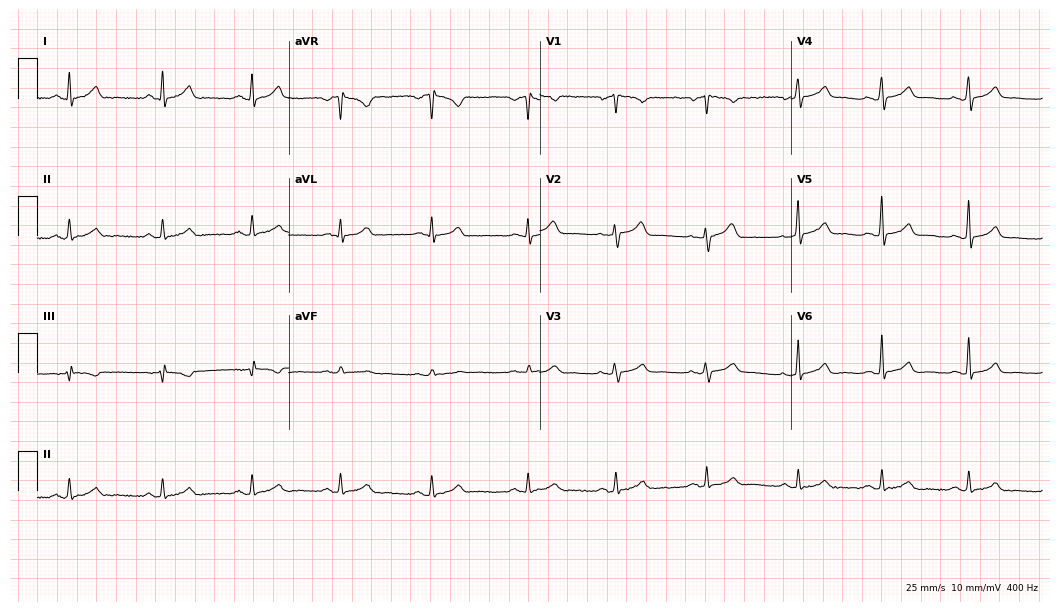
12-lead ECG from a 36-year-old woman (10.2-second recording at 400 Hz). Recorded interpretation: within normal limits.